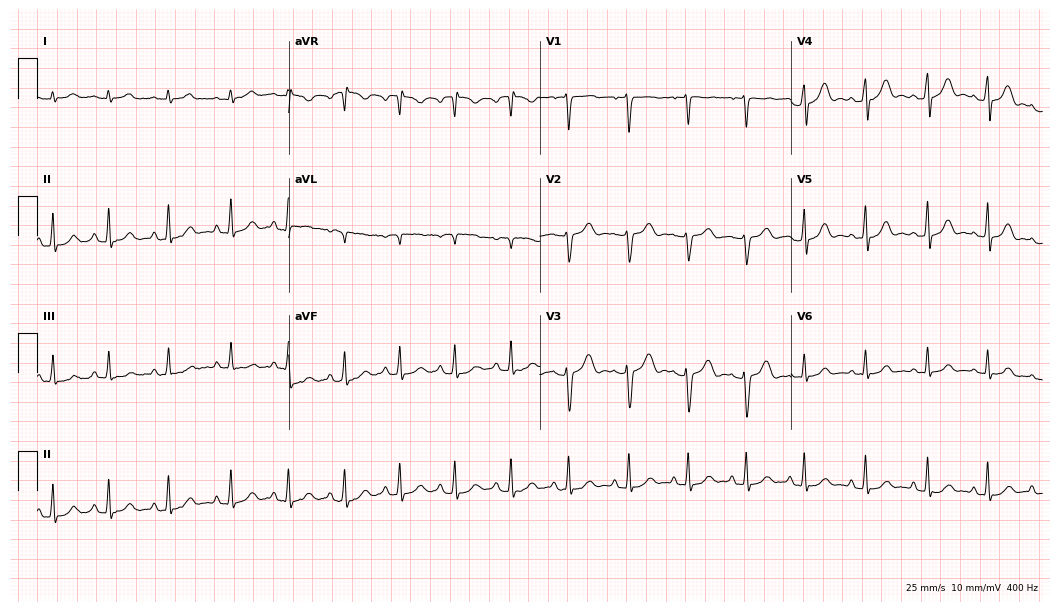
Electrocardiogram, a woman, 31 years old. Overall reading on record: normal ECG.